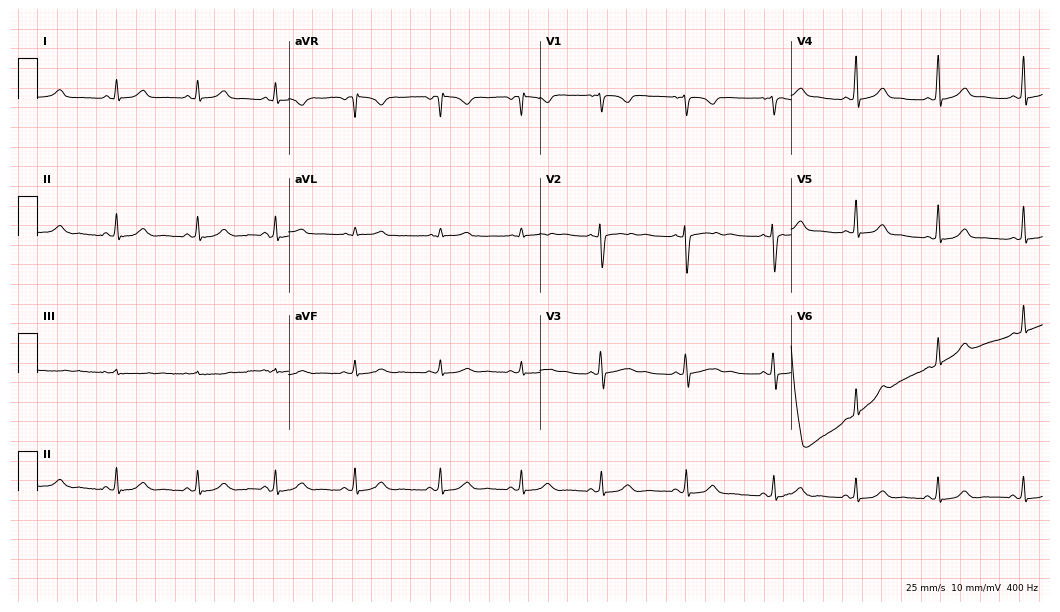
Electrocardiogram (10.2-second recording at 400 Hz), a female patient, 20 years old. Of the six screened findings (first-degree AV block, right bundle branch block (RBBB), left bundle branch block (LBBB), sinus bradycardia, atrial fibrillation (AF), sinus tachycardia), none is recorded.